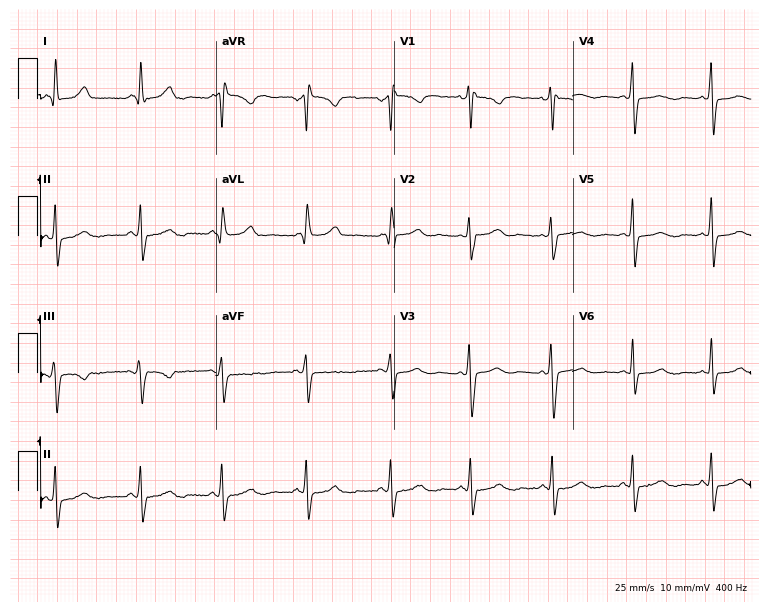
ECG (7.3-second recording at 400 Hz) — a woman, 24 years old. Screened for six findings — first-degree AV block, right bundle branch block, left bundle branch block, sinus bradycardia, atrial fibrillation, sinus tachycardia — none is recorded. Only these six findings were labelled.